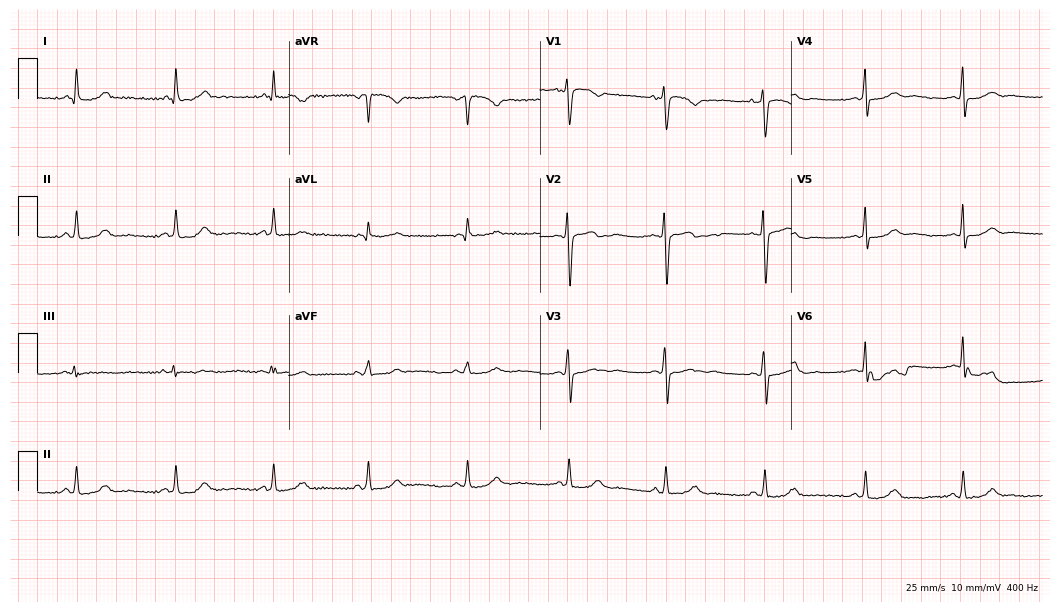
12-lead ECG from a female patient, 42 years old (10.2-second recording at 400 Hz). No first-degree AV block, right bundle branch block, left bundle branch block, sinus bradycardia, atrial fibrillation or sinus tachycardia recorded for this tracing. Only these six findings were labelled.